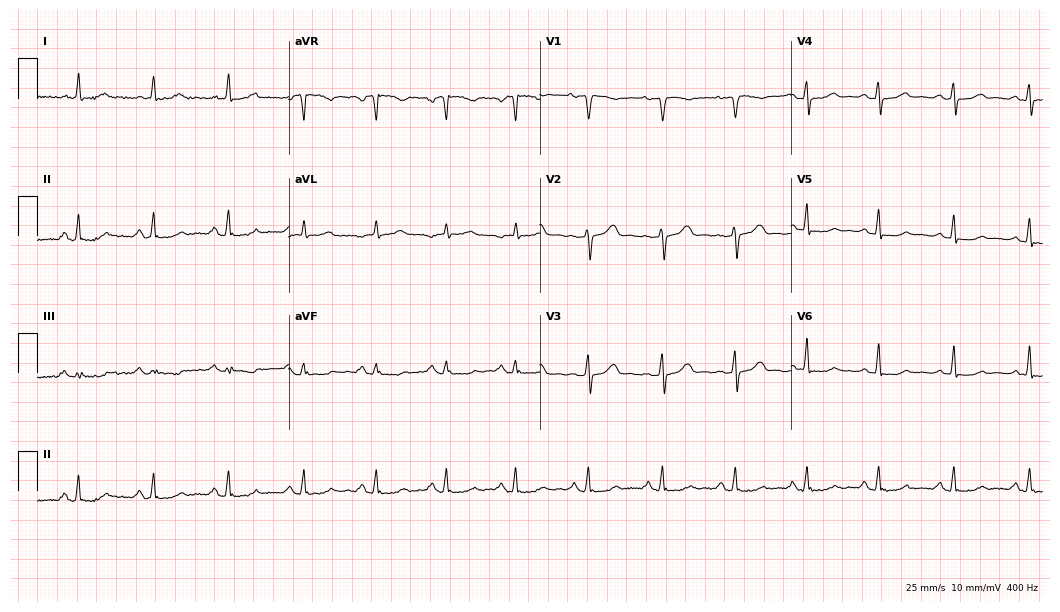
Resting 12-lead electrocardiogram. Patient: a female, 55 years old. Read as a normal ECG.